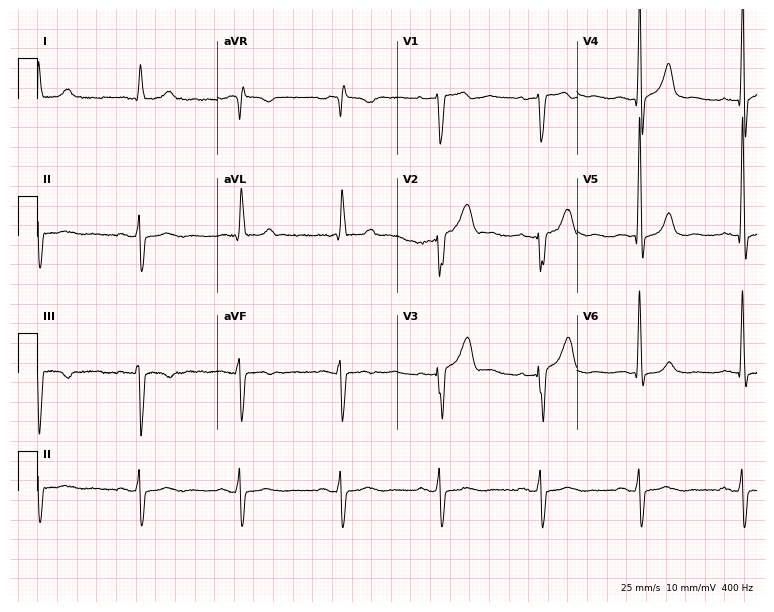
Electrocardiogram (7.3-second recording at 400 Hz), an 80-year-old man. Of the six screened findings (first-degree AV block, right bundle branch block, left bundle branch block, sinus bradycardia, atrial fibrillation, sinus tachycardia), none is recorded. Other findings, if any, are not listed.